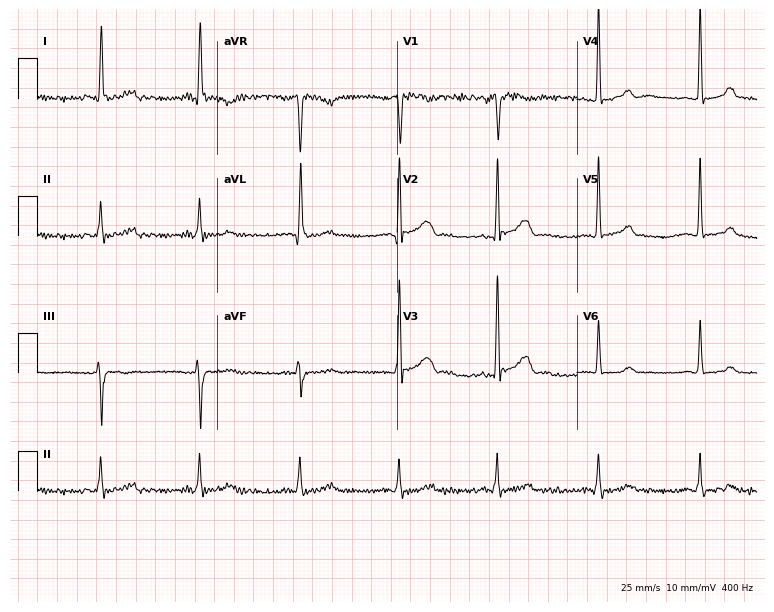
12-lead ECG (7.3-second recording at 400 Hz) from a 42-year-old male. Screened for six findings — first-degree AV block, right bundle branch block, left bundle branch block, sinus bradycardia, atrial fibrillation, sinus tachycardia — none is recorded. Other findings, if any, are not listed.